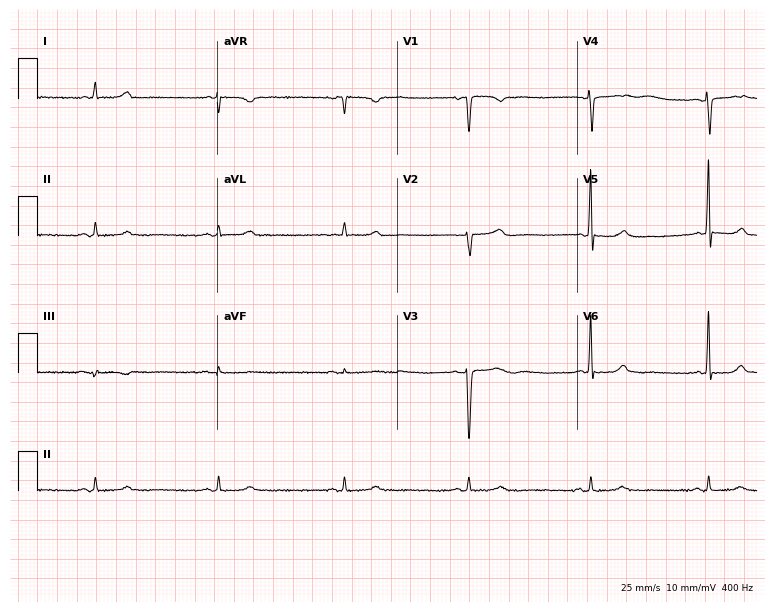
Electrocardiogram (7.3-second recording at 400 Hz), a 55-year-old female. Interpretation includes sinus bradycardia (a sinus rate of 50 beats per minute or less).